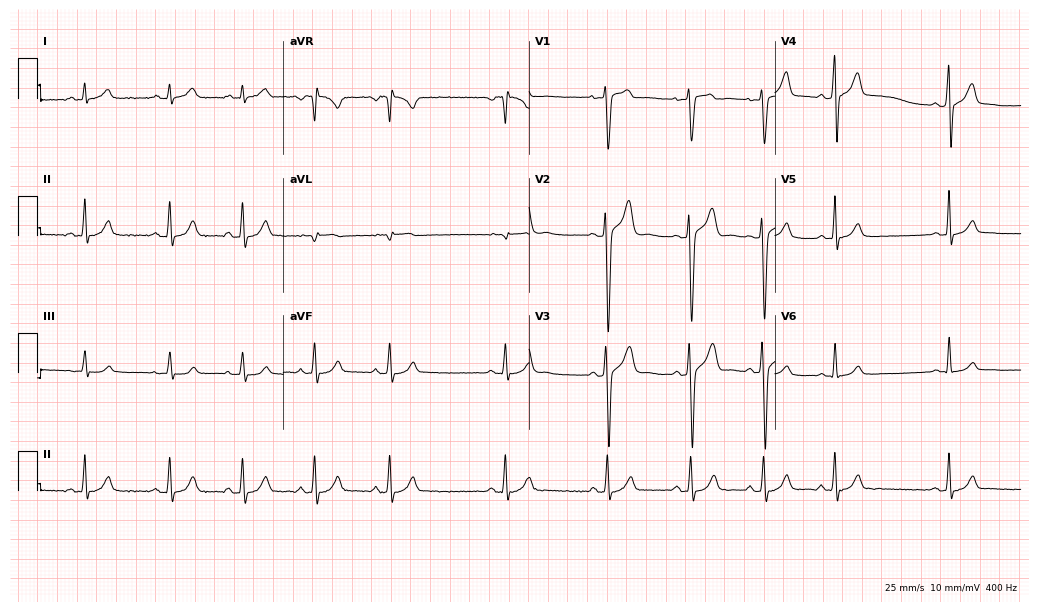
12-lead ECG from a 17-year-old man. Labelled as a normal ECG.